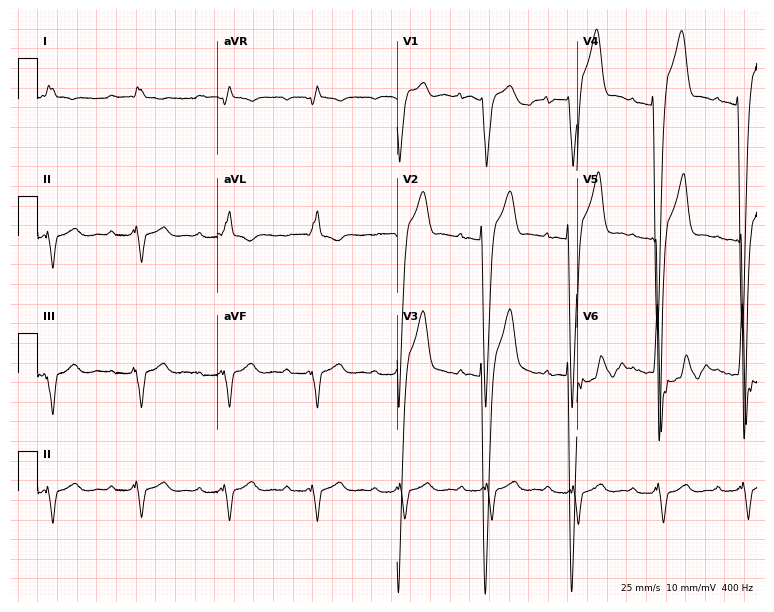
12-lead ECG from a 71-year-old man. Screened for six findings — first-degree AV block, right bundle branch block, left bundle branch block, sinus bradycardia, atrial fibrillation, sinus tachycardia — none is recorded. Only these six findings were labelled.